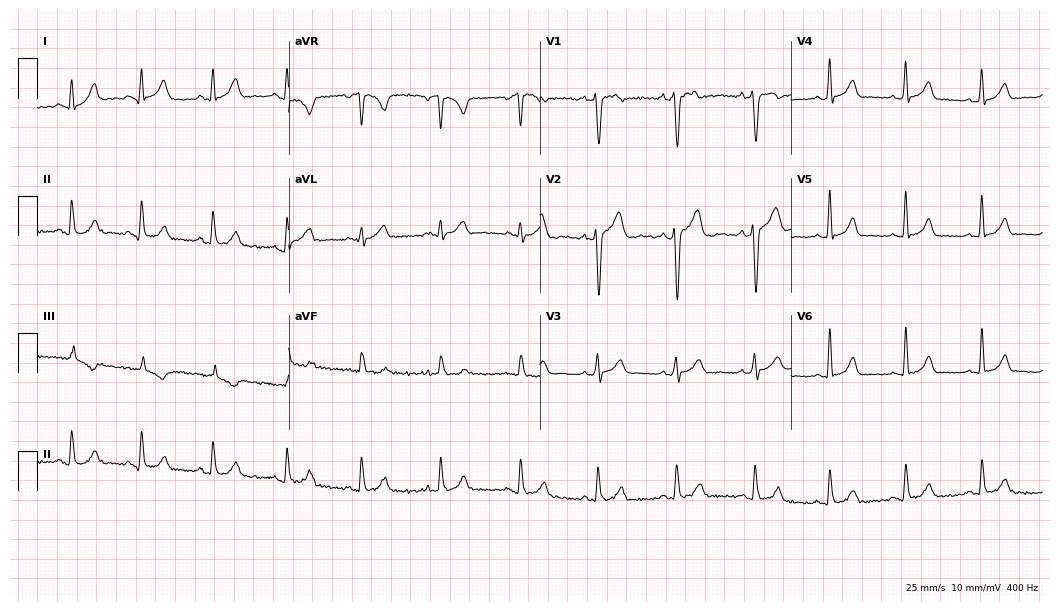
Electrocardiogram (10.2-second recording at 400 Hz), a man, 19 years old. Overall reading on record: normal ECG.